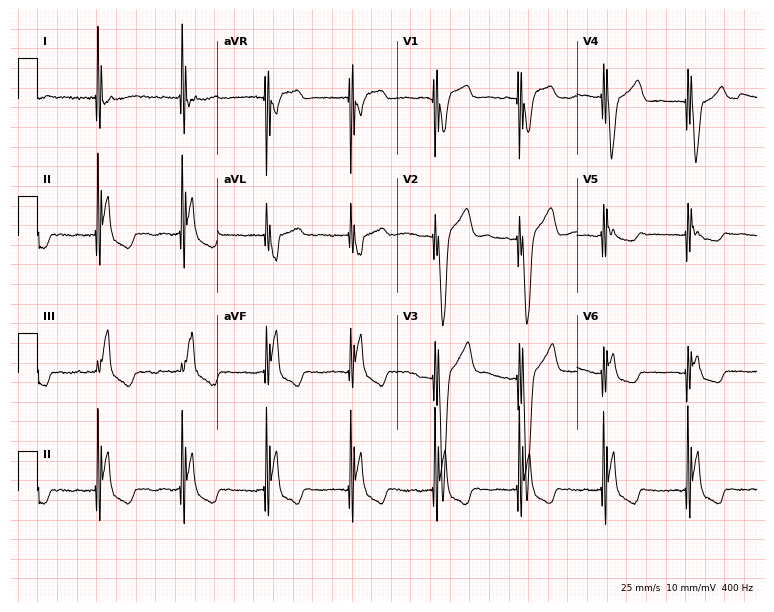
ECG (7.3-second recording at 400 Hz) — a male patient, 76 years old. Screened for six findings — first-degree AV block, right bundle branch block, left bundle branch block, sinus bradycardia, atrial fibrillation, sinus tachycardia — none is recorded.